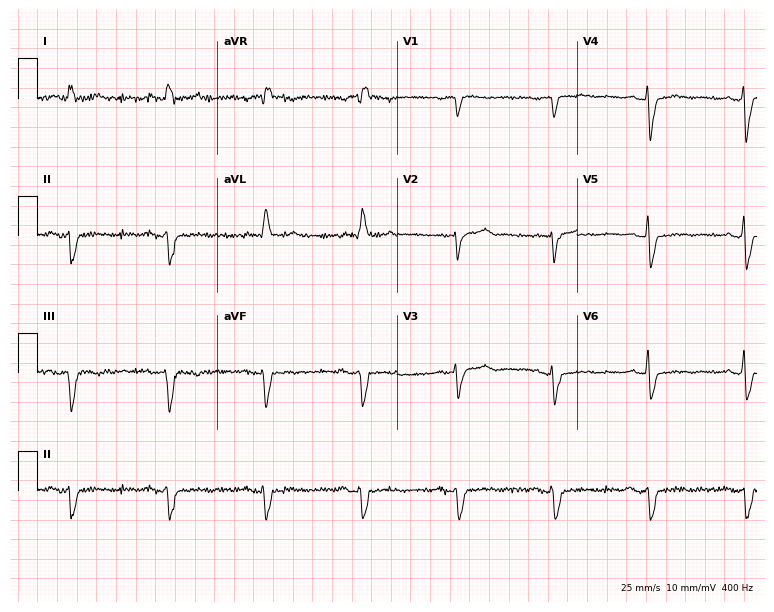
Electrocardiogram (7.3-second recording at 400 Hz), an 85-year-old male. Of the six screened findings (first-degree AV block, right bundle branch block (RBBB), left bundle branch block (LBBB), sinus bradycardia, atrial fibrillation (AF), sinus tachycardia), none is recorded.